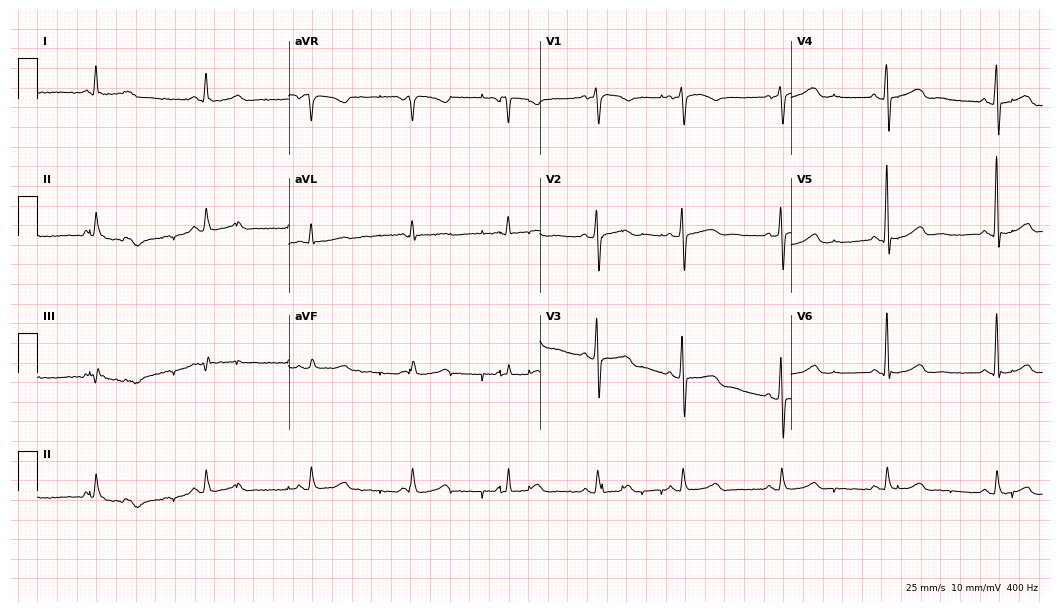
Electrocardiogram (10.2-second recording at 400 Hz), a female, 66 years old. Of the six screened findings (first-degree AV block, right bundle branch block, left bundle branch block, sinus bradycardia, atrial fibrillation, sinus tachycardia), none is recorded.